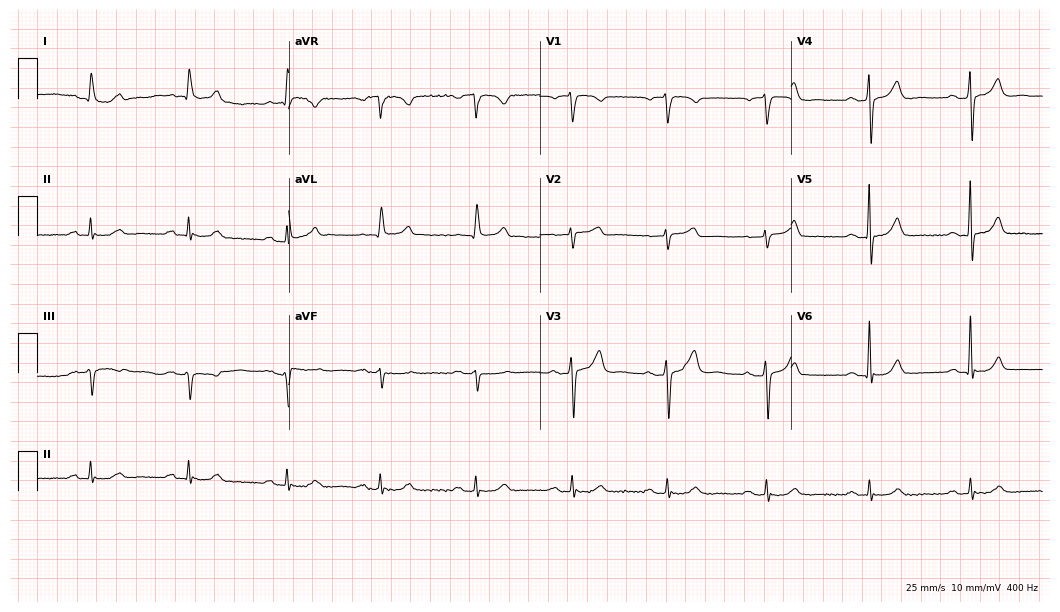
12-lead ECG from a 73-year-old male. Recorded interpretation: within normal limits.